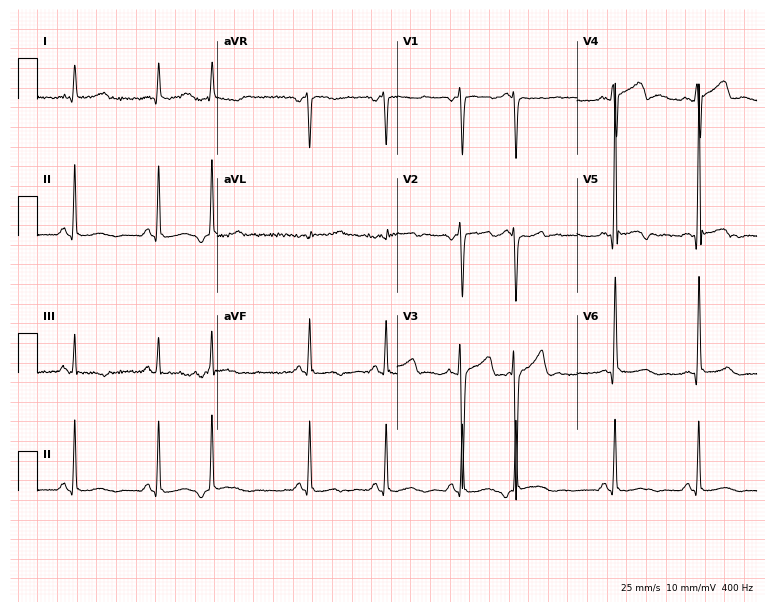
12-lead ECG (7.3-second recording at 400 Hz) from a 35-year-old male patient. Screened for six findings — first-degree AV block, right bundle branch block, left bundle branch block, sinus bradycardia, atrial fibrillation, sinus tachycardia — none is recorded. Only these six findings were labelled.